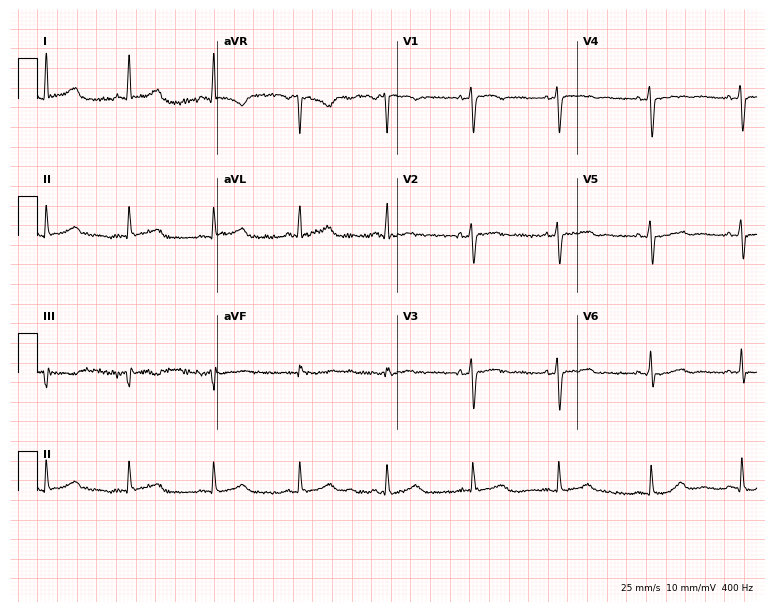
Standard 12-lead ECG recorded from a 40-year-old female patient (7.3-second recording at 400 Hz). Read as a normal ECG.